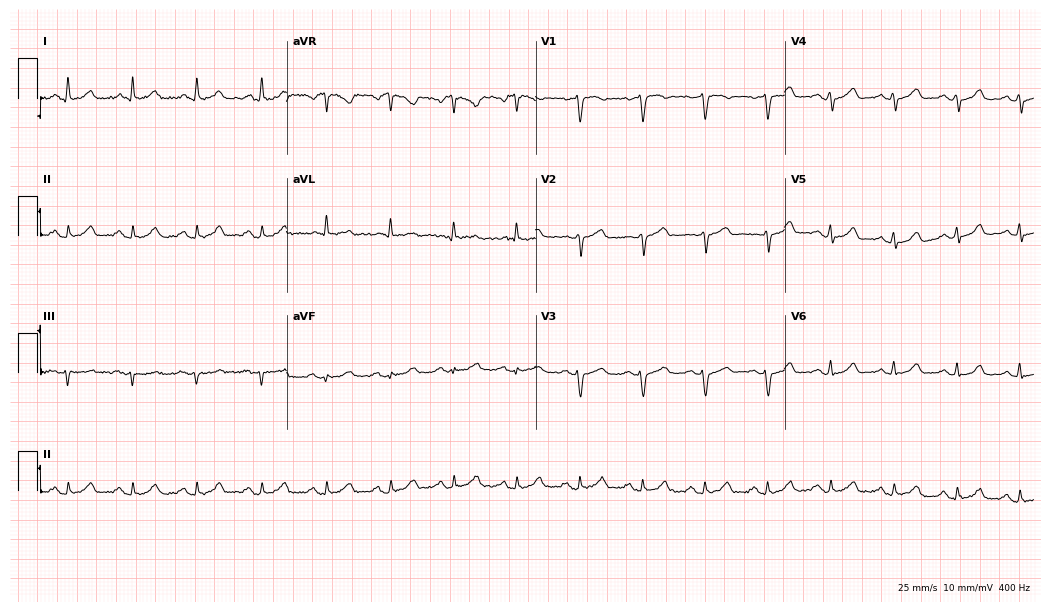
Electrocardiogram (10.2-second recording at 400 Hz), a female patient, 52 years old. Overall reading on record: normal ECG.